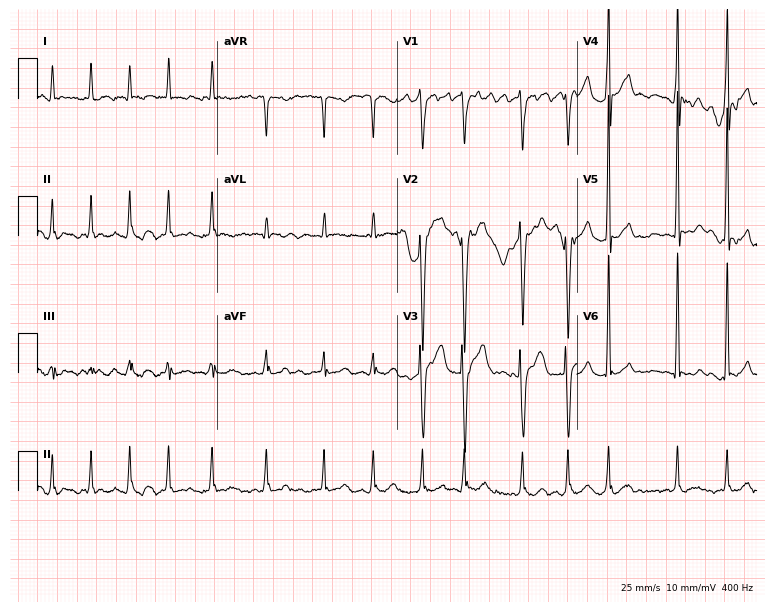
ECG (7.3-second recording at 400 Hz) — a man, 48 years old. Findings include atrial fibrillation (AF).